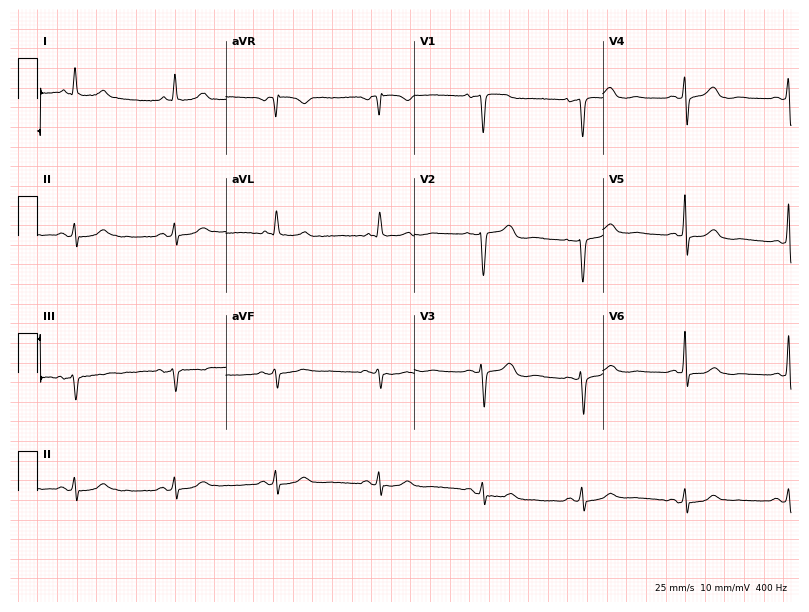
ECG — a female, 79 years old. Labelled as a normal ECG.